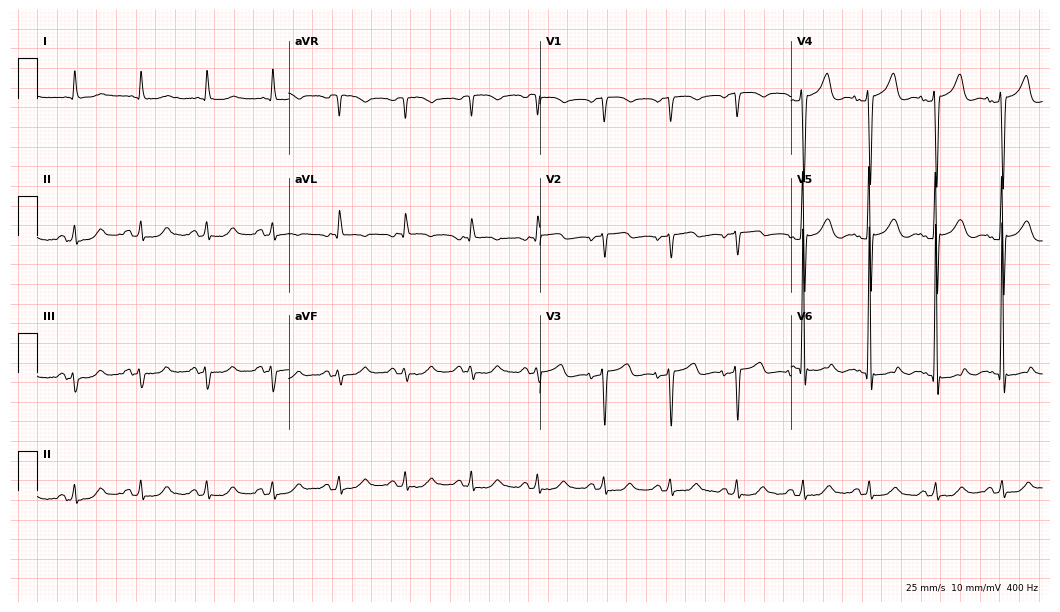
ECG (10.2-second recording at 400 Hz) — an 85-year-old male. Screened for six findings — first-degree AV block, right bundle branch block (RBBB), left bundle branch block (LBBB), sinus bradycardia, atrial fibrillation (AF), sinus tachycardia — none is recorded. Other findings, if any, are not listed.